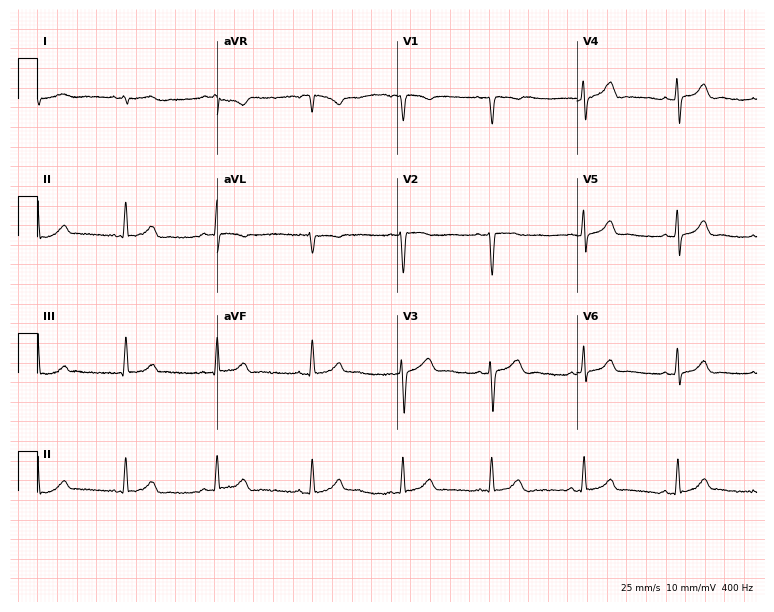
ECG — a 42-year-old female patient. Screened for six findings — first-degree AV block, right bundle branch block, left bundle branch block, sinus bradycardia, atrial fibrillation, sinus tachycardia — none is recorded.